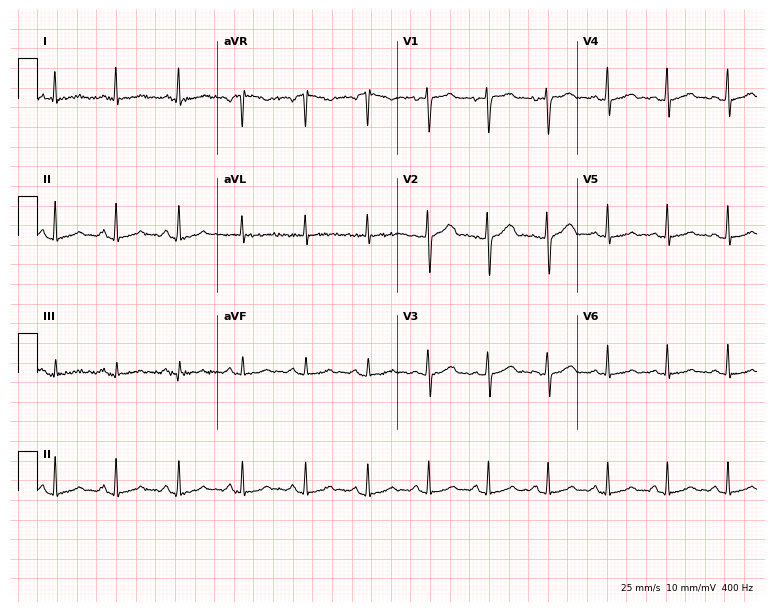
Electrocardiogram (7.3-second recording at 400 Hz), a male, 27 years old. Overall reading on record: normal ECG.